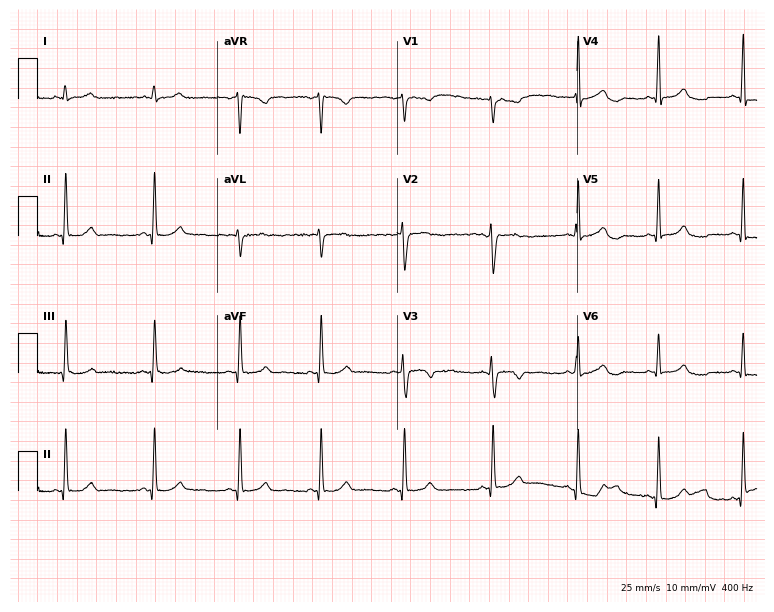
12-lead ECG (7.3-second recording at 400 Hz) from a female patient, 25 years old. Screened for six findings — first-degree AV block, right bundle branch block, left bundle branch block, sinus bradycardia, atrial fibrillation, sinus tachycardia — none is recorded.